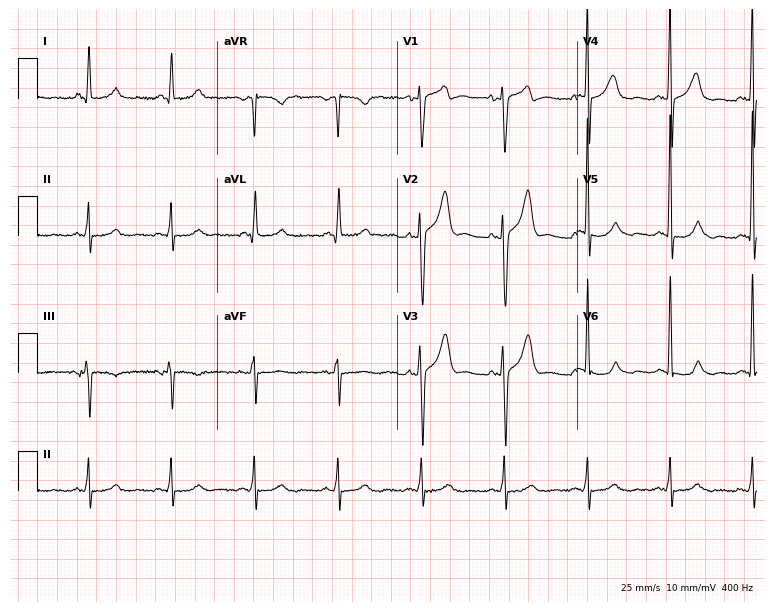
12-lead ECG from a male patient, 61 years old (7.3-second recording at 400 Hz). Recorded interpretation: within normal limits.